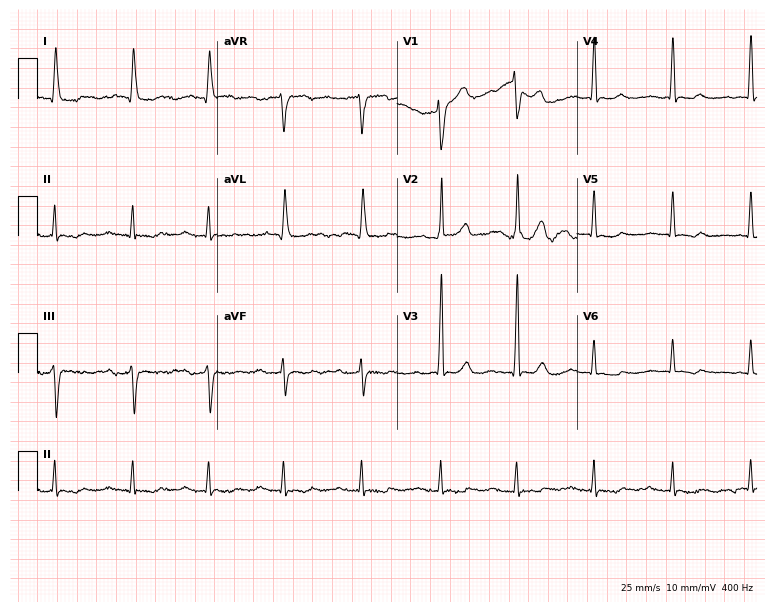
Standard 12-lead ECG recorded from a man, 77 years old (7.3-second recording at 400 Hz). The tracing shows first-degree AV block.